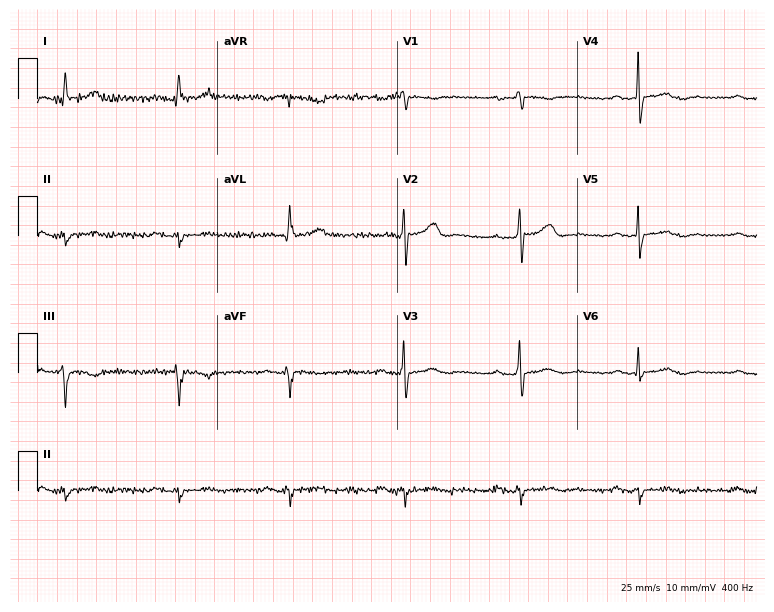
Electrocardiogram (7.3-second recording at 400 Hz), an 81-year-old male patient. Of the six screened findings (first-degree AV block, right bundle branch block (RBBB), left bundle branch block (LBBB), sinus bradycardia, atrial fibrillation (AF), sinus tachycardia), none is recorded. Findings outside these six are not listed.